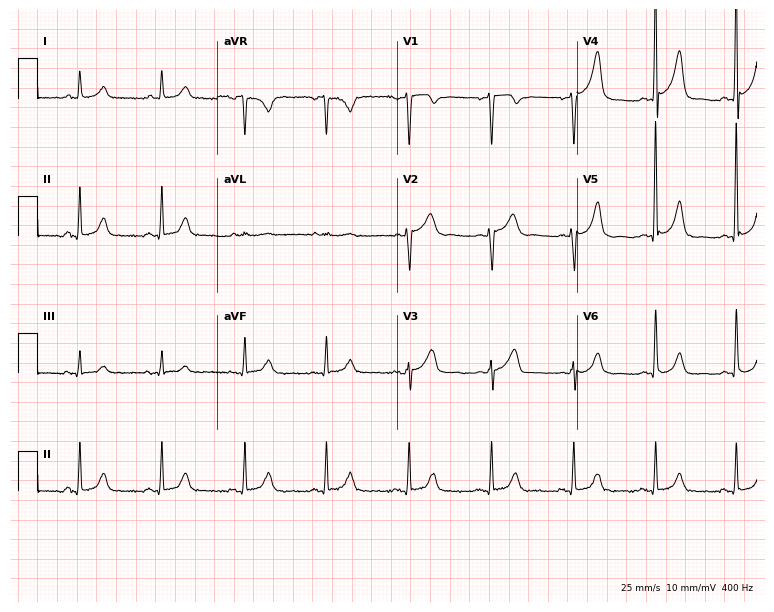
12-lead ECG (7.3-second recording at 400 Hz) from a male patient, 61 years old. Screened for six findings — first-degree AV block, right bundle branch block, left bundle branch block, sinus bradycardia, atrial fibrillation, sinus tachycardia — none is recorded. Other findings, if any, are not listed.